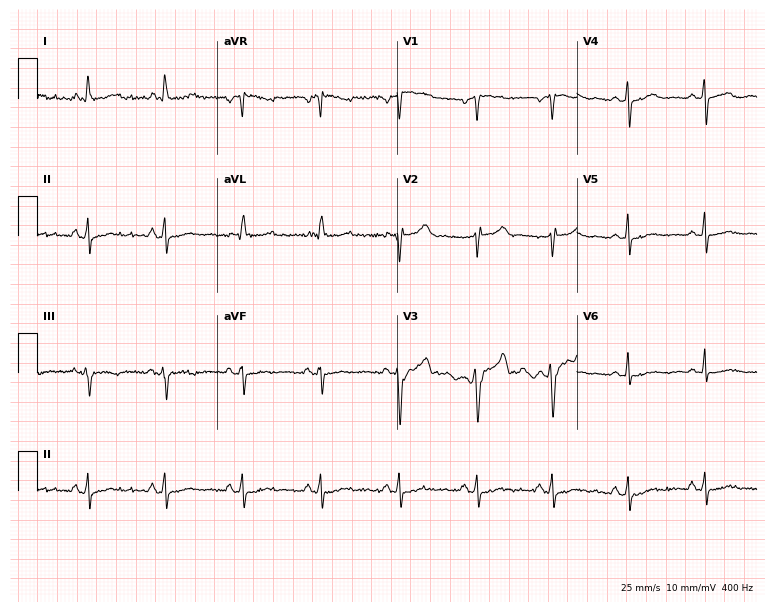
Electrocardiogram (7.3-second recording at 400 Hz), a 46-year-old woman. Of the six screened findings (first-degree AV block, right bundle branch block, left bundle branch block, sinus bradycardia, atrial fibrillation, sinus tachycardia), none is recorded. Only these six findings were labelled.